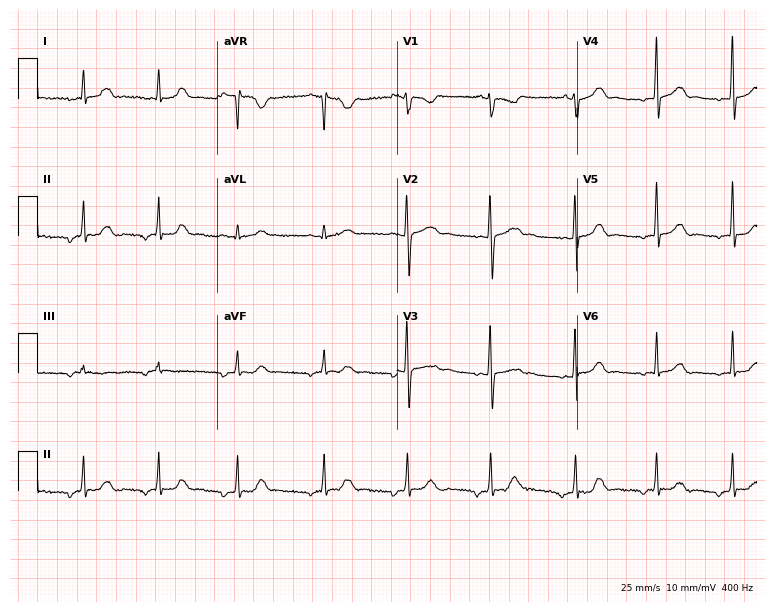
Standard 12-lead ECG recorded from a 21-year-old female patient (7.3-second recording at 400 Hz). None of these six findings is recorded: first-degree AV block, right bundle branch block, left bundle branch block, sinus bradycardia, atrial fibrillation, sinus tachycardia.